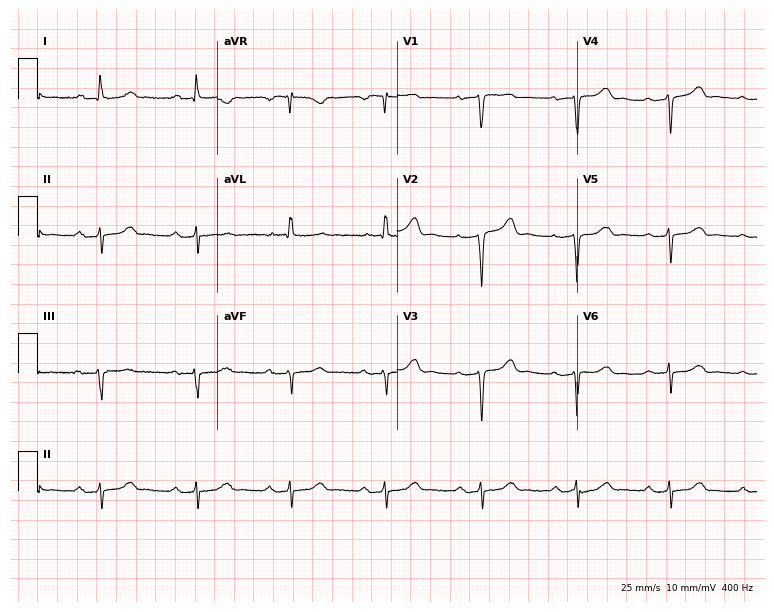
Standard 12-lead ECG recorded from a female patient, 80 years old. The tracing shows first-degree AV block.